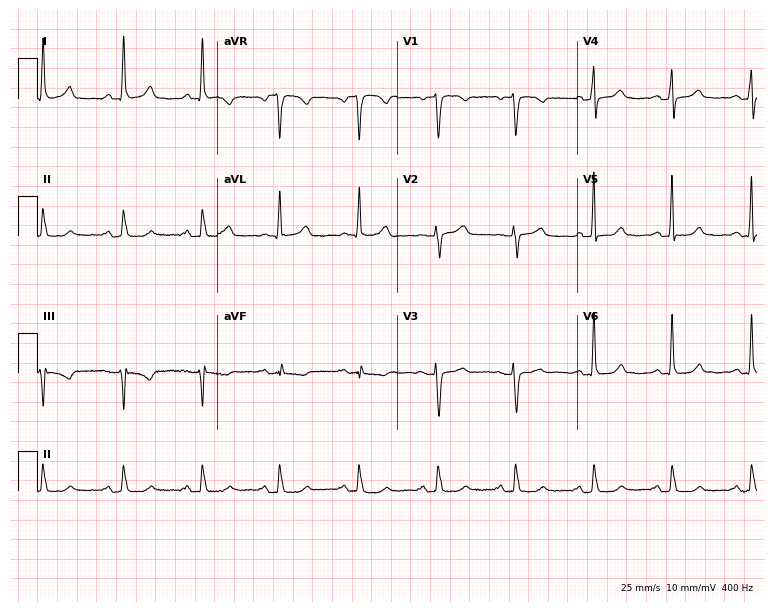
12-lead ECG from a female, 73 years old. No first-degree AV block, right bundle branch block, left bundle branch block, sinus bradycardia, atrial fibrillation or sinus tachycardia recorded for this tracing. Other findings, if any, are not listed.